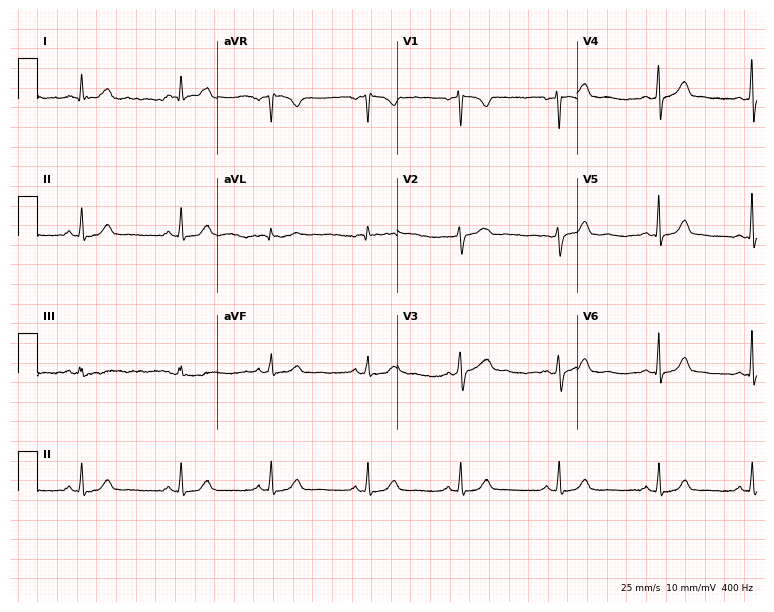
ECG (7.3-second recording at 400 Hz) — a 37-year-old woman. Labelled as a normal ECG.